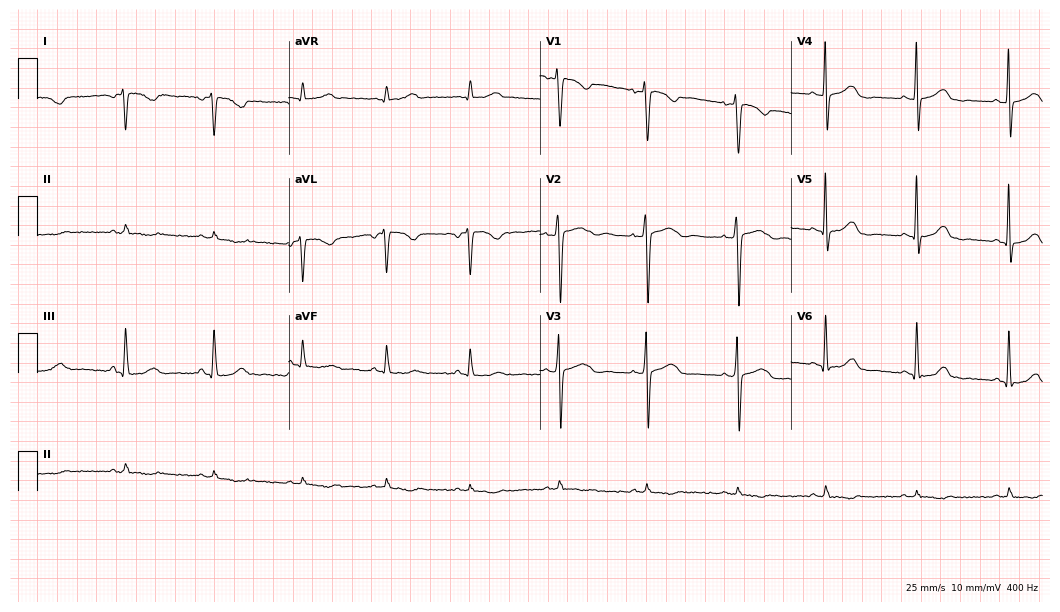
Electrocardiogram, a 51-year-old woman. Of the six screened findings (first-degree AV block, right bundle branch block (RBBB), left bundle branch block (LBBB), sinus bradycardia, atrial fibrillation (AF), sinus tachycardia), none is recorded.